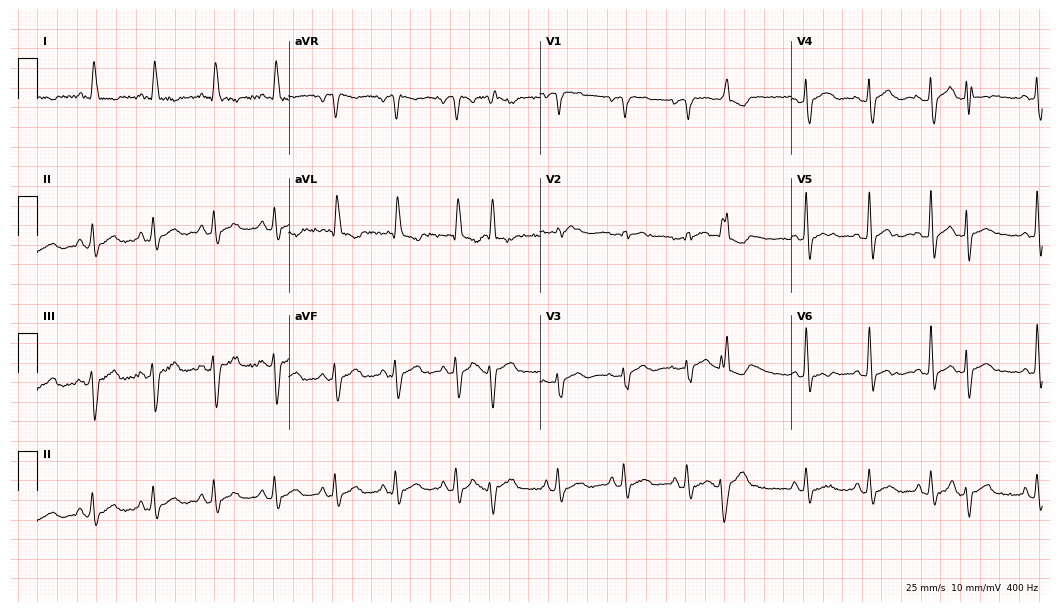
Electrocardiogram (10.2-second recording at 400 Hz), an 80-year-old female patient. Of the six screened findings (first-degree AV block, right bundle branch block (RBBB), left bundle branch block (LBBB), sinus bradycardia, atrial fibrillation (AF), sinus tachycardia), none is recorded. Findings outside these six are not listed.